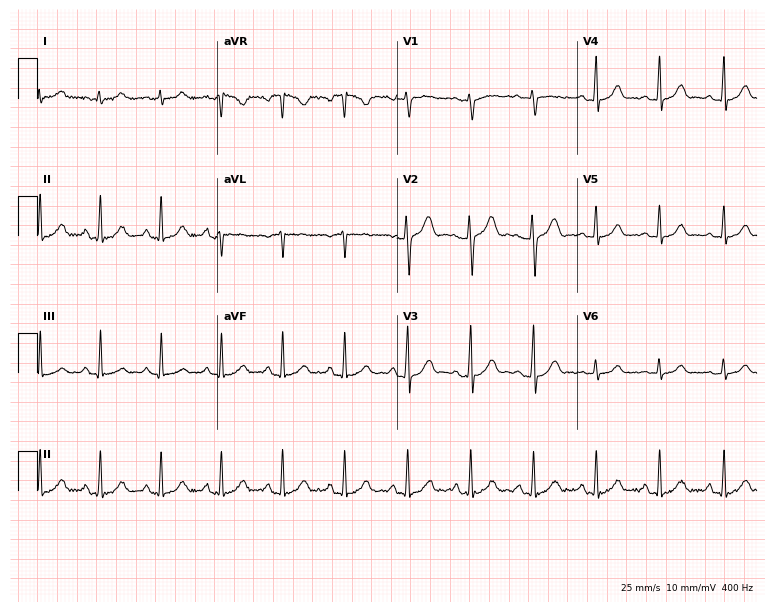
ECG (7.3-second recording at 400 Hz) — a 23-year-old woman. Screened for six findings — first-degree AV block, right bundle branch block, left bundle branch block, sinus bradycardia, atrial fibrillation, sinus tachycardia — none is recorded.